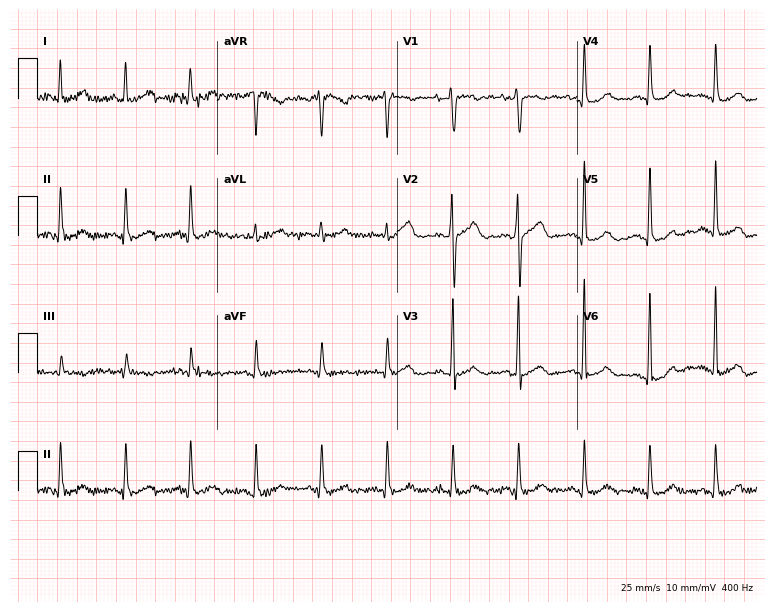
ECG (7.3-second recording at 400 Hz) — a 68-year-old male. Screened for six findings — first-degree AV block, right bundle branch block (RBBB), left bundle branch block (LBBB), sinus bradycardia, atrial fibrillation (AF), sinus tachycardia — none is recorded.